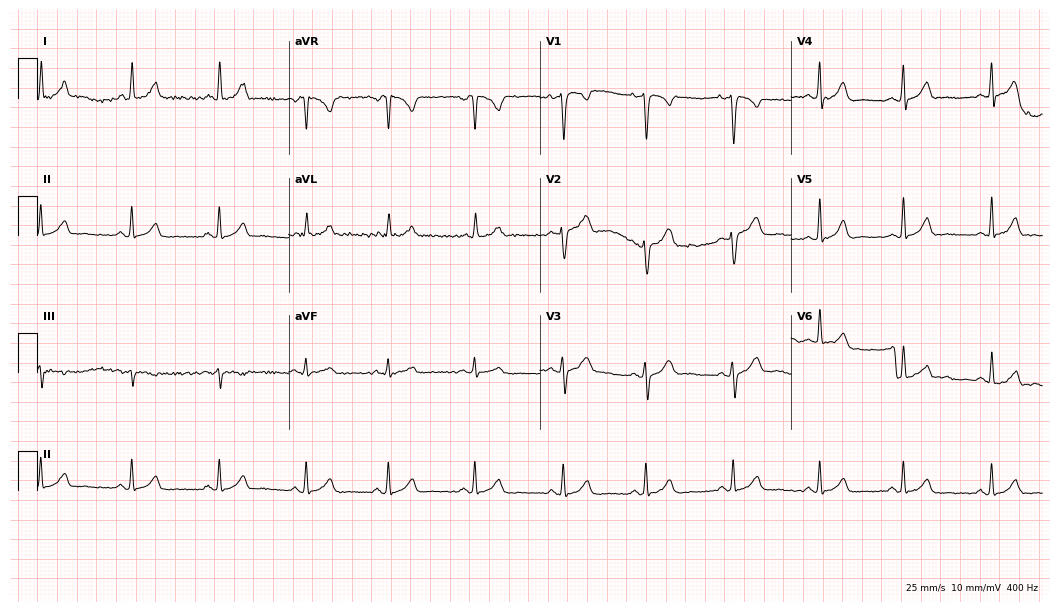
ECG — a male, 32 years old. Labelled as a normal ECG.